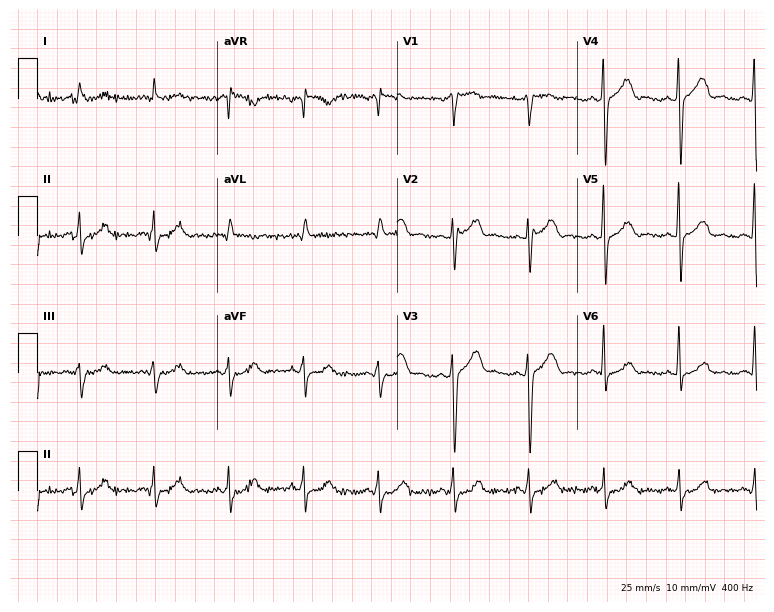
Electrocardiogram (7.3-second recording at 400 Hz), a man, 71 years old. Overall reading on record: normal ECG.